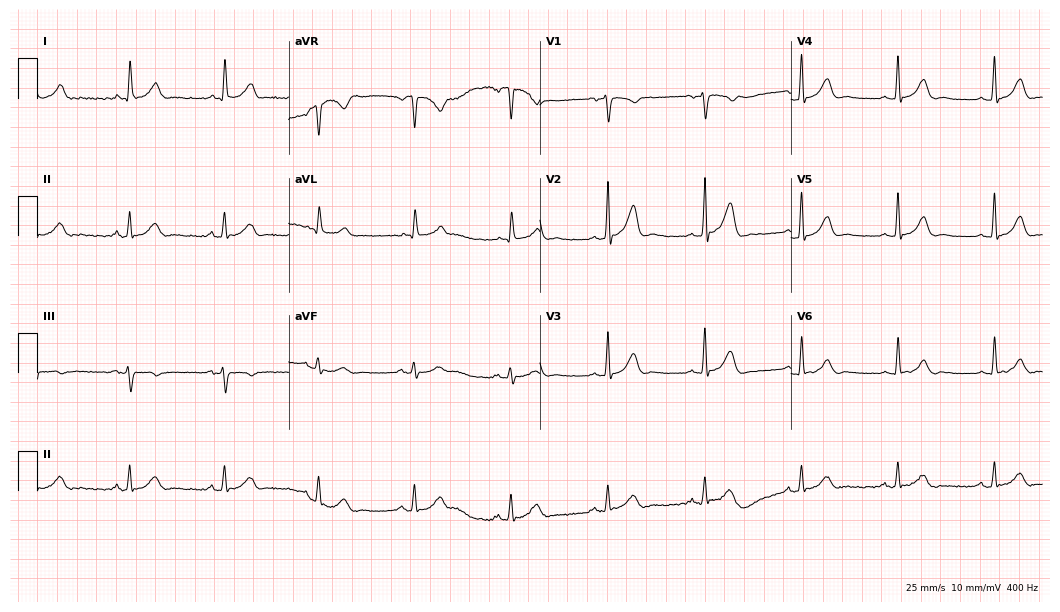
12-lead ECG from a 68-year-old man. Labelled as a normal ECG.